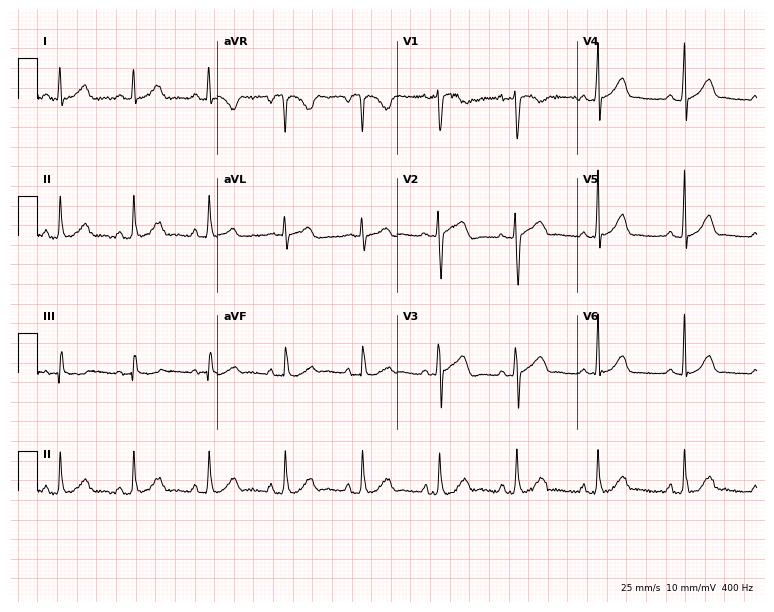
12-lead ECG from a 19-year-old female patient (7.3-second recording at 400 Hz). Recorded interpretation: within normal limits.